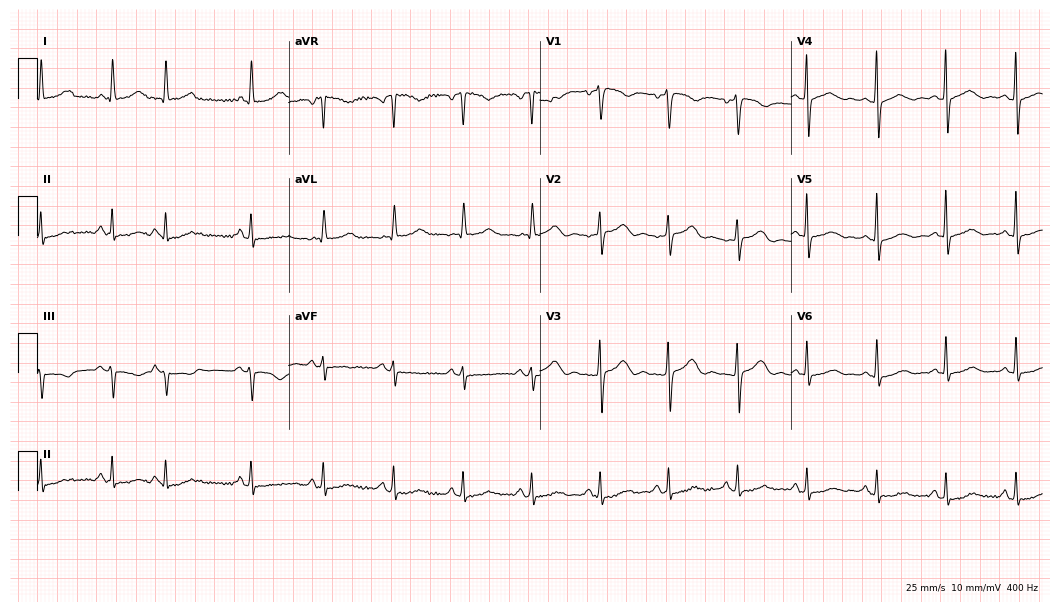
12-lead ECG (10.2-second recording at 400 Hz) from a female, 60 years old. Labelled as a normal ECG.